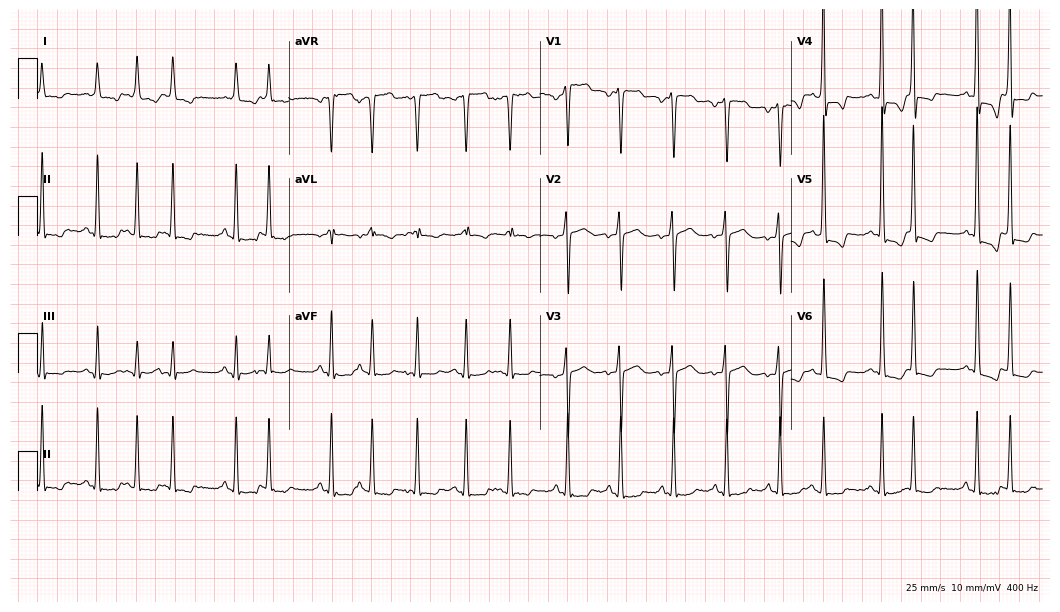
Standard 12-lead ECG recorded from a man, 78 years old (10.2-second recording at 400 Hz). The tracing shows sinus tachycardia (a sinus rate of 100 beats per minute or more).